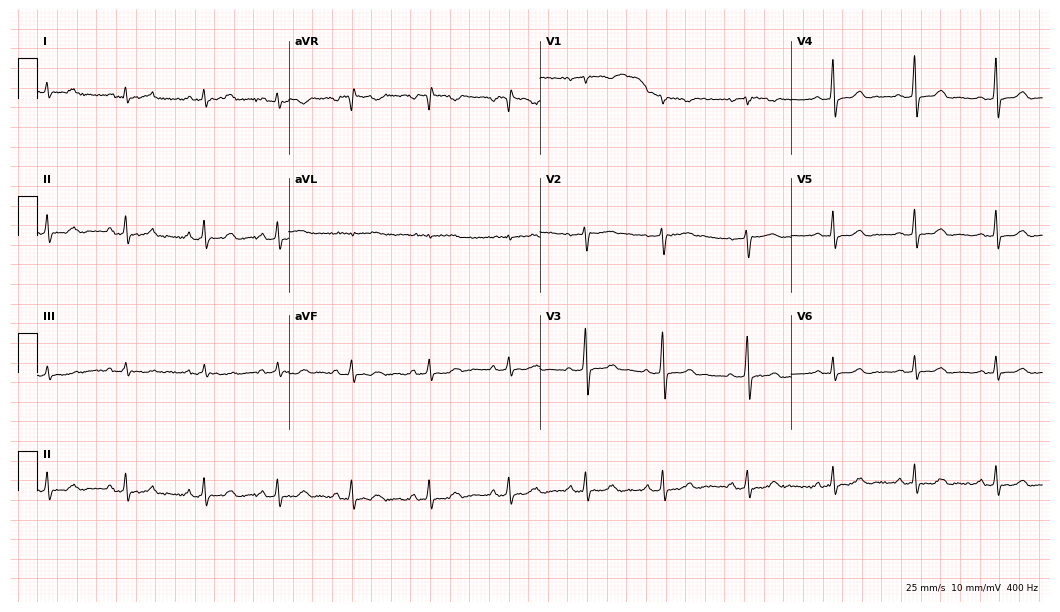
Resting 12-lead electrocardiogram (10.2-second recording at 400 Hz). Patient: a female, 27 years old. None of these six findings is recorded: first-degree AV block, right bundle branch block, left bundle branch block, sinus bradycardia, atrial fibrillation, sinus tachycardia.